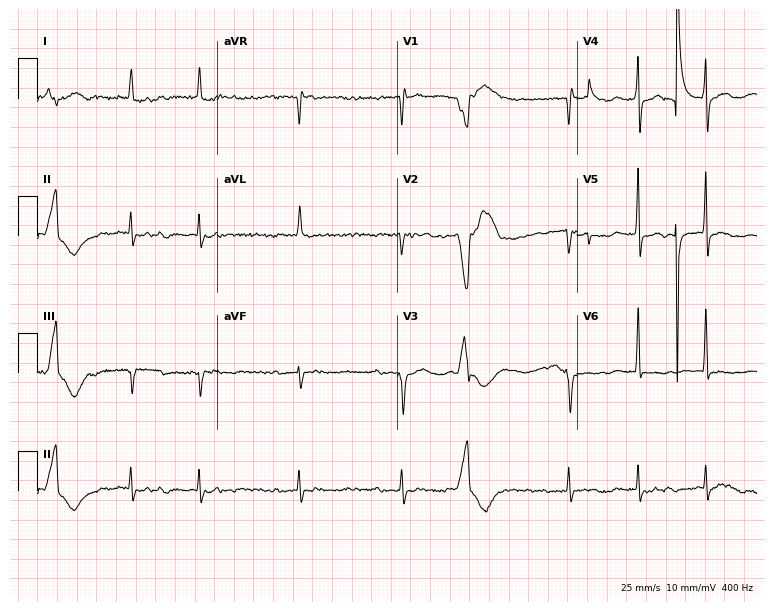
ECG (7.3-second recording at 400 Hz) — a female, 83 years old. Findings include atrial fibrillation (AF).